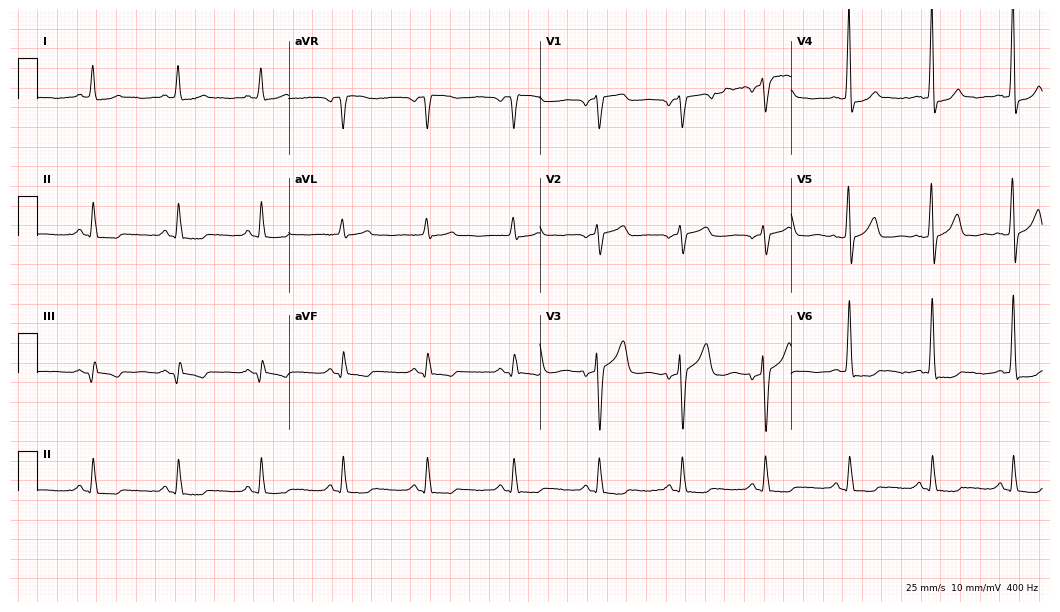
Electrocardiogram, a man, 50 years old. Of the six screened findings (first-degree AV block, right bundle branch block (RBBB), left bundle branch block (LBBB), sinus bradycardia, atrial fibrillation (AF), sinus tachycardia), none is recorded. Findings outside these six are not listed.